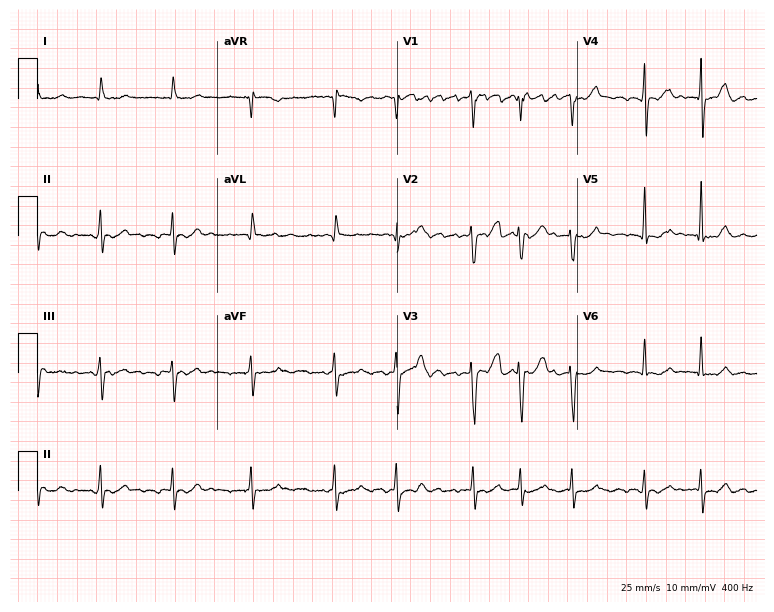
Standard 12-lead ECG recorded from a female, 77 years old (7.3-second recording at 400 Hz). The tracing shows atrial fibrillation.